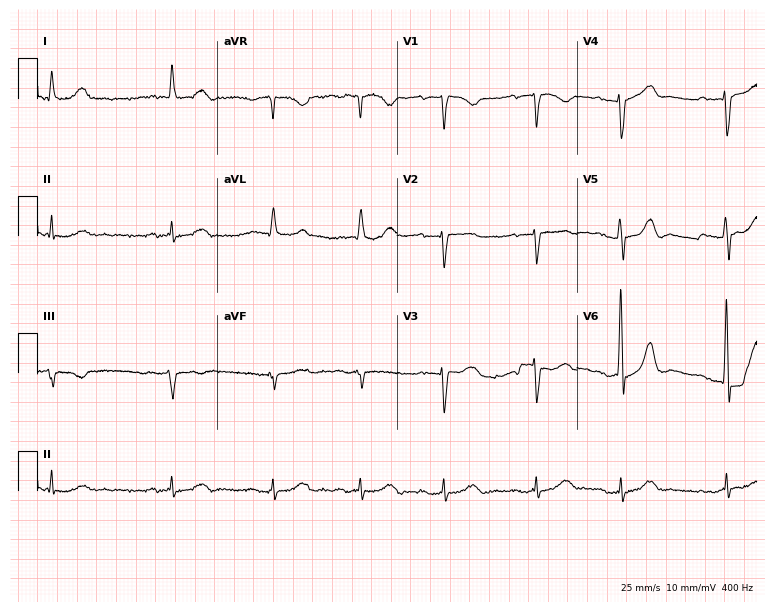
Electrocardiogram (7.3-second recording at 400 Hz), a 79-year-old male patient. Overall reading on record: normal ECG.